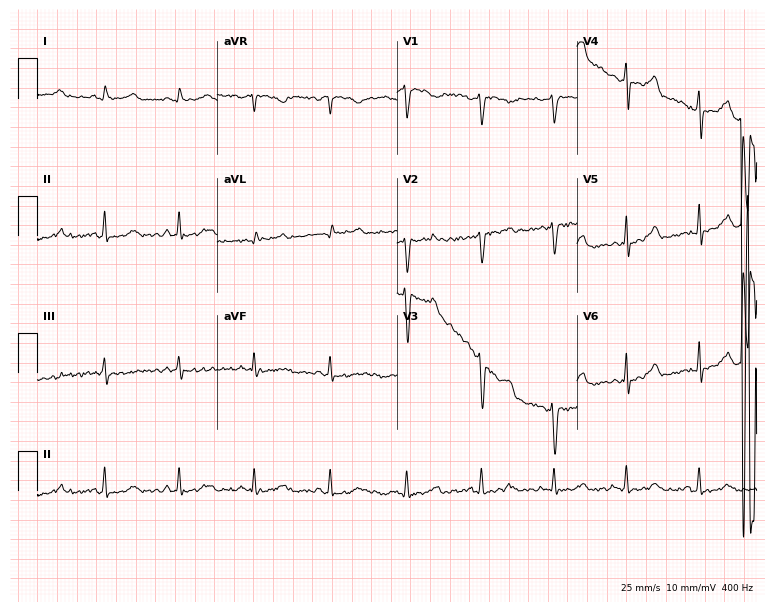
Resting 12-lead electrocardiogram. Patient: a 36-year-old female. None of these six findings is recorded: first-degree AV block, right bundle branch block (RBBB), left bundle branch block (LBBB), sinus bradycardia, atrial fibrillation (AF), sinus tachycardia. Only these six findings were labelled.